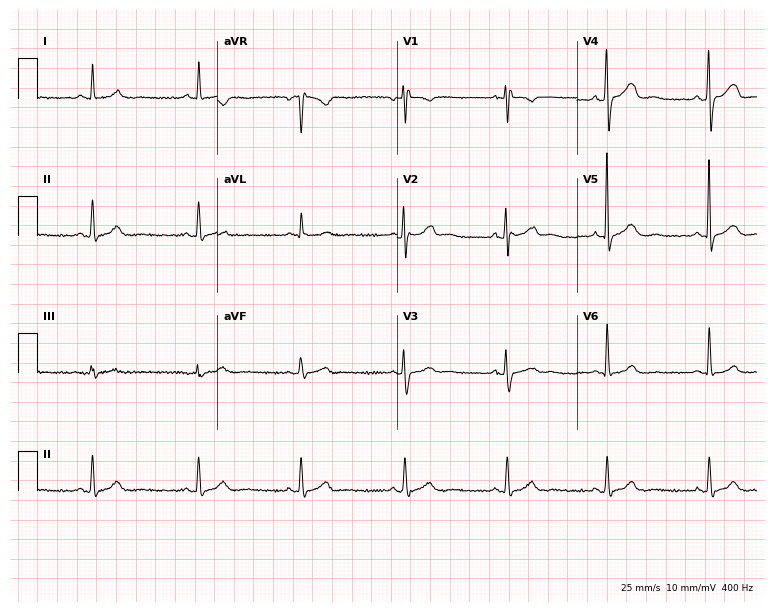
12-lead ECG (7.3-second recording at 400 Hz) from a 59-year-old male patient. Screened for six findings — first-degree AV block, right bundle branch block, left bundle branch block, sinus bradycardia, atrial fibrillation, sinus tachycardia — none is recorded. Only these six findings were labelled.